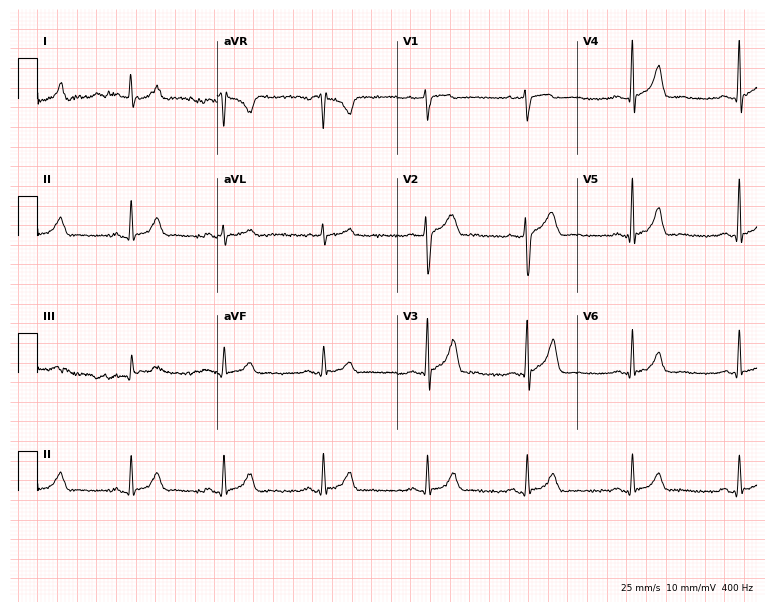
12-lead ECG from a 36-year-old male patient. Screened for six findings — first-degree AV block, right bundle branch block (RBBB), left bundle branch block (LBBB), sinus bradycardia, atrial fibrillation (AF), sinus tachycardia — none is recorded. Only these six findings were labelled.